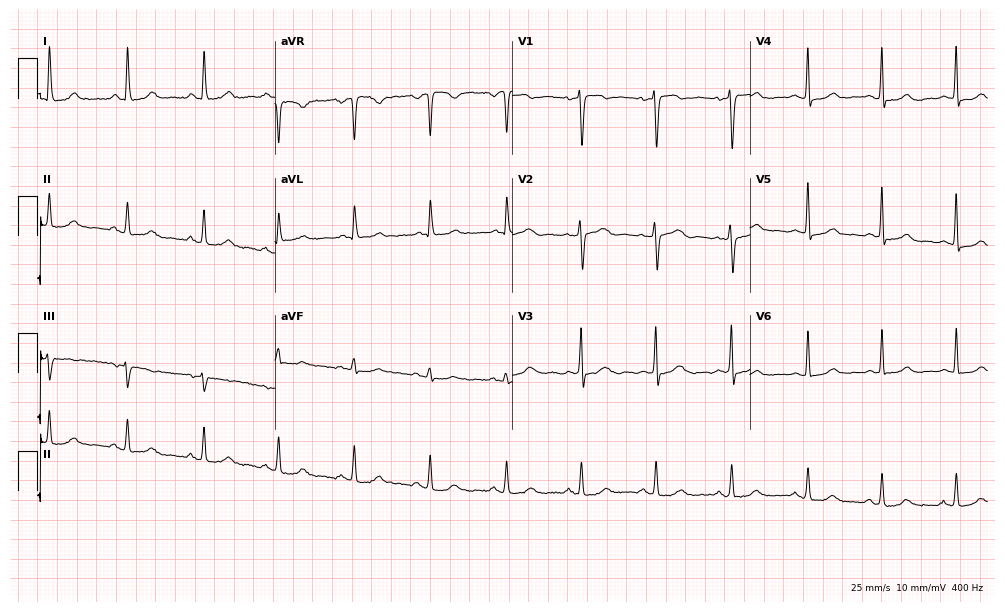
12-lead ECG (9.7-second recording at 400 Hz) from a female, 50 years old. Labelled as a normal ECG.